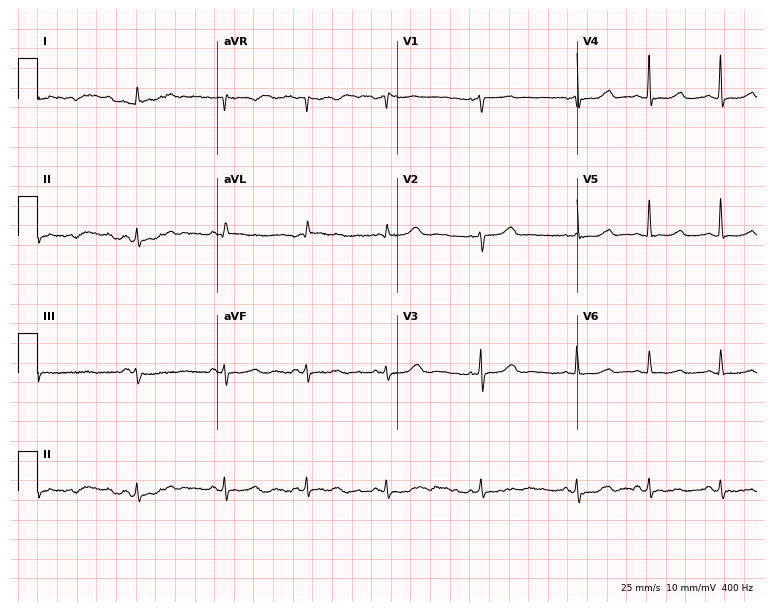
Electrocardiogram, a female, 82 years old. Of the six screened findings (first-degree AV block, right bundle branch block (RBBB), left bundle branch block (LBBB), sinus bradycardia, atrial fibrillation (AF), sinus tachycardia), none is recorded.